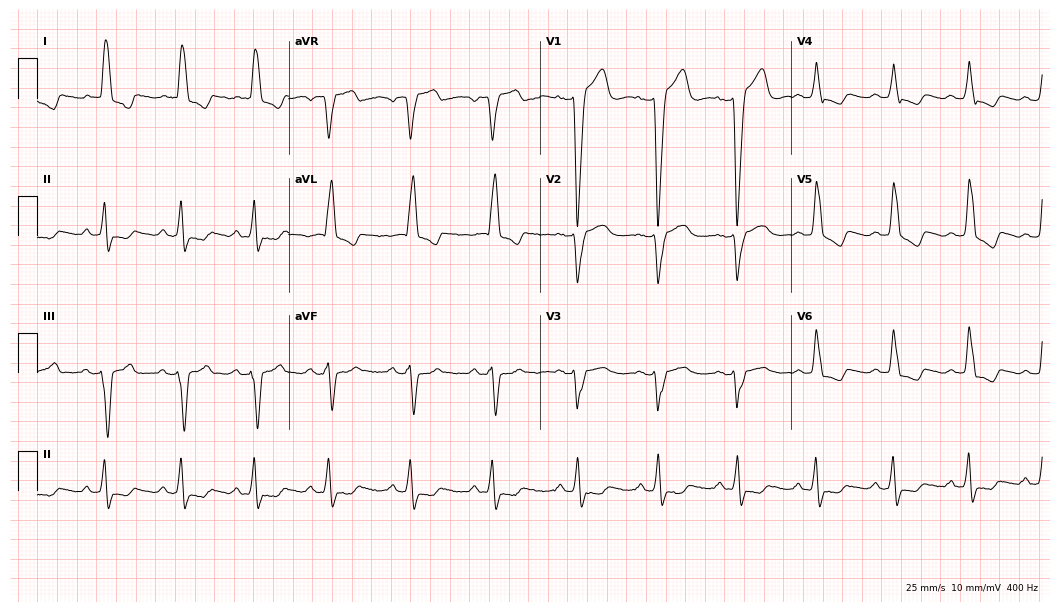
12-lead ECG from a woman, 79 years old (10.2-second recording at 400 Hz). Shows left bundle branch block.